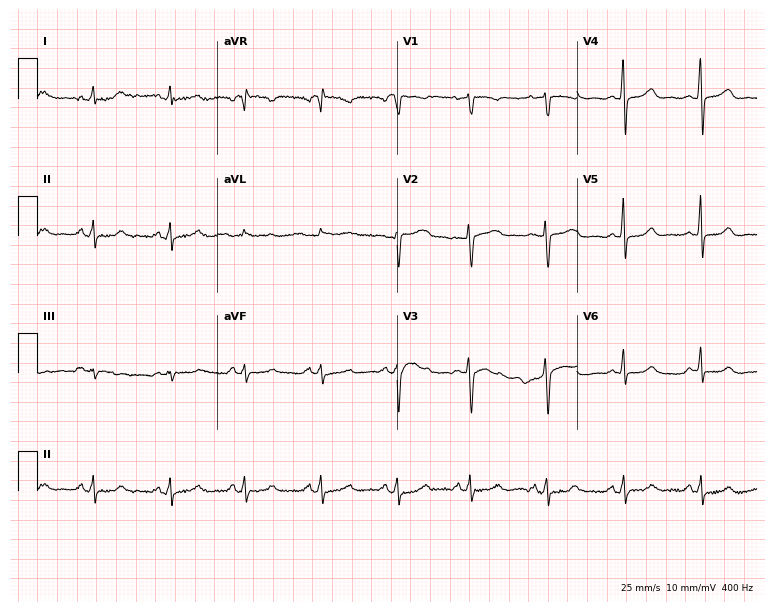
ECG (7.3-second recording at 400 Hz) — a woman, 43 years old. Labelled as a normal ECG.